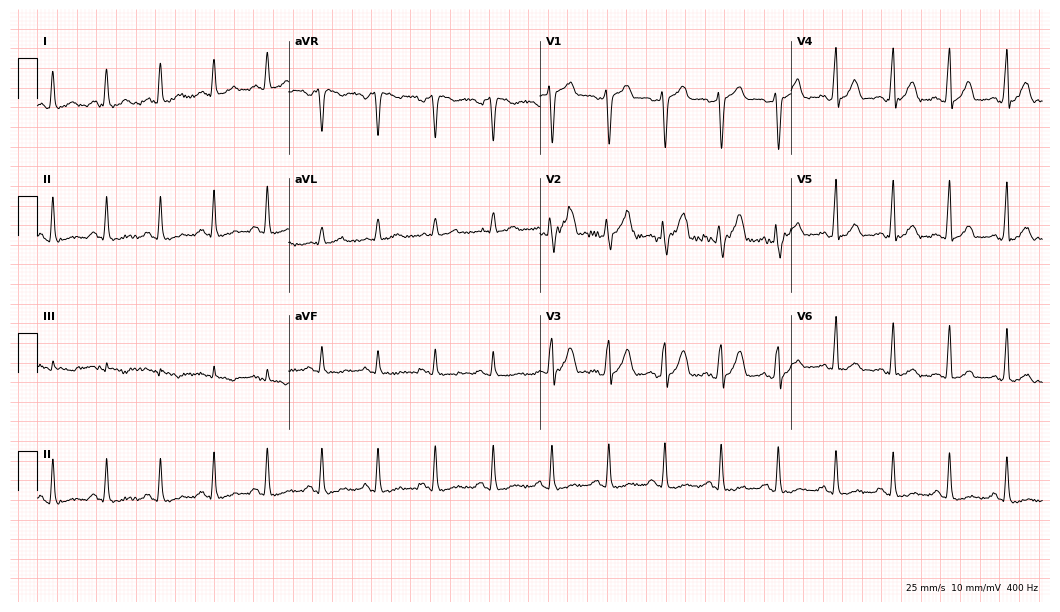
Electrocardiogram, a male, 33 years old. Interpretation includes sinus tachycardia (a sinus rate of 100 beats per minute or more).